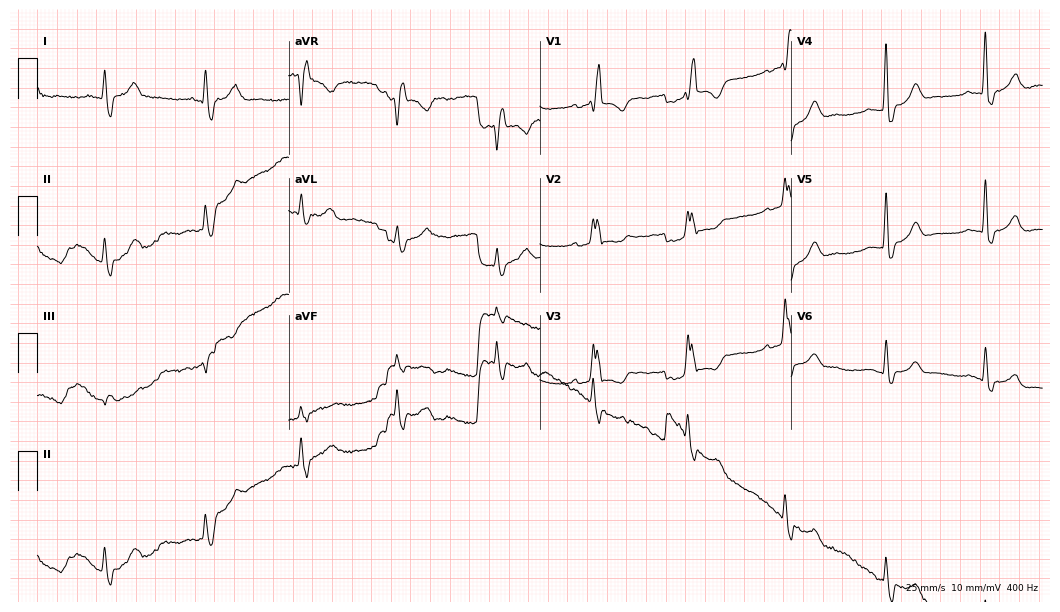
12-lead ECG from a 78-year-old woman. Findings include right bundle branch block (RBBB).